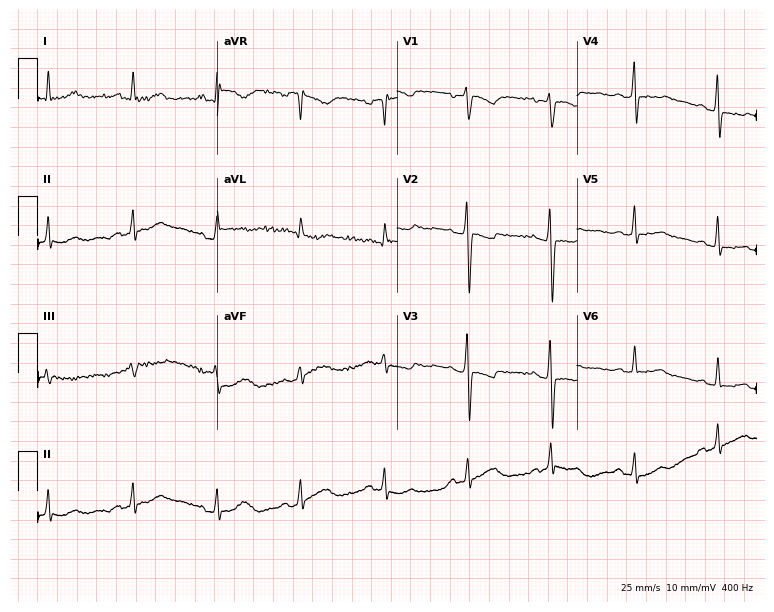
12-lead ECG (7.3-second recording at 400 Hz) from a 65-year-old female. Screened for six findings — first-degree AV block, right bundle branch block, left bundle branch block, sinus bradycardia, atrial fibrillation, sinus tachycardia — none is recorded. Other findings, if any, are not listed.